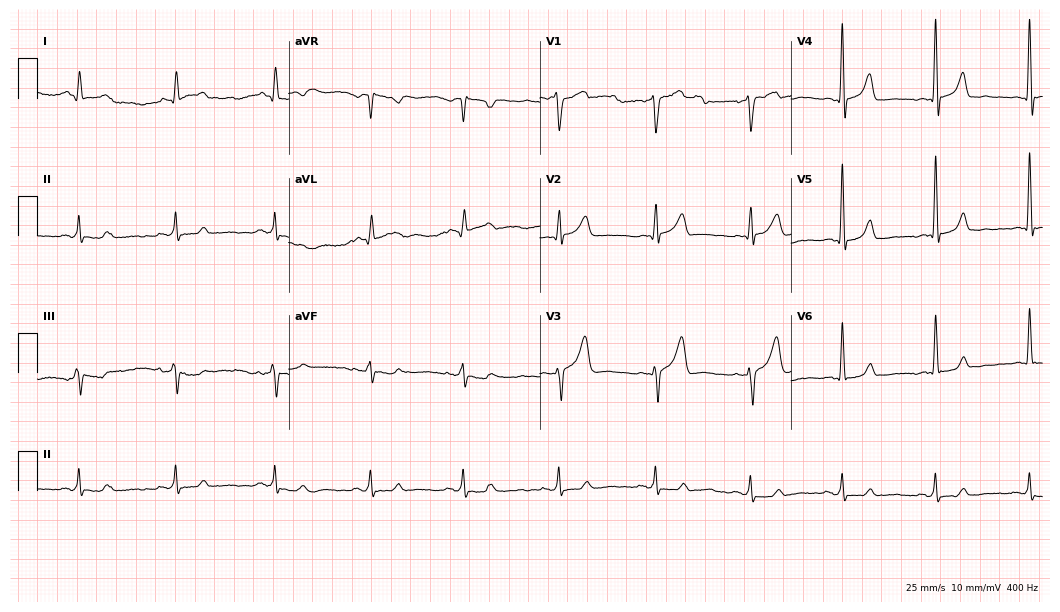
Standard 12-lead ECG recorded from a male, 60 years old. None of these six findings is recorded: first-degree AV block, right bundle branch block (RBBB), left bundle branch block (LBBB), sinus bradycardia, atrial fibrillation (AF), sinus tachycardia. Findings outside these six are not listed.